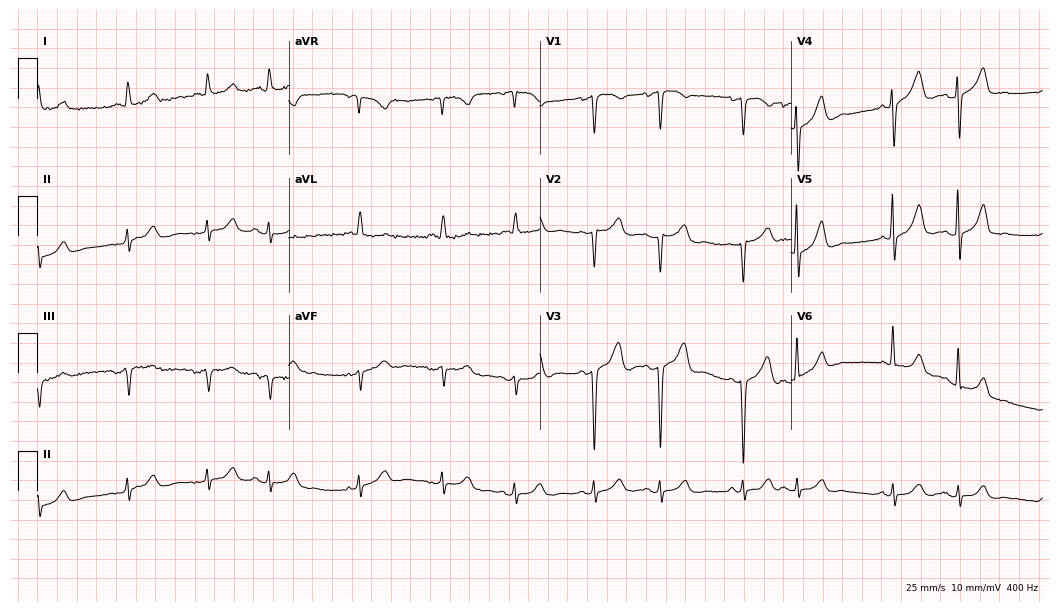
Electrocardiogram, a female patient, 74 years old. Of the six screened findings (first-degree AV block, right bundle branch block (RBBB), left bundle branch block (LBBB), sinus bradycardia, atrial fibrillation (AF), sinus tachycardia), none is recorded.